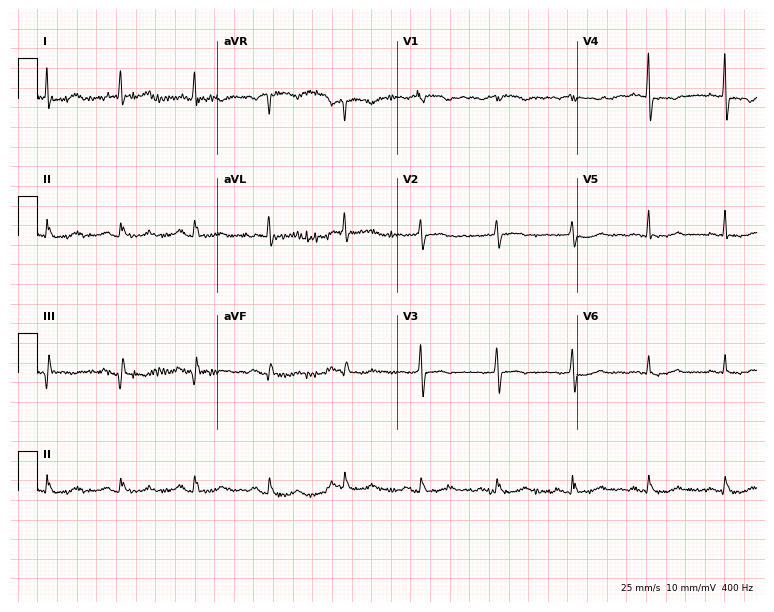
12-lead ECG from a woman, 65 years old. Screened for six findings — first-degree AV block, right bundle branch block, left bundle branch block, sinus bradycardia, atrial fibrillation, sinus tachycardia — none is recorded.